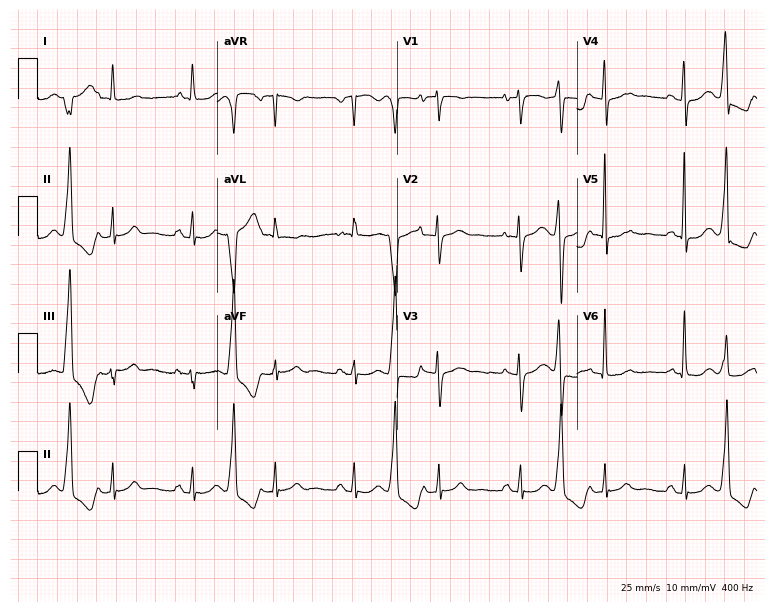
Resting 12-lead electrocardiogram (7.3-second recording at 400 Hz). Patient: a female, 64 years old. None of these six findings is recorded: first-degree AV block, right bundle branch block (RBBB), left bundle branch block (LBBB), sinus bradycardia, atrial fibrillation (AF), sinus tachycardia.